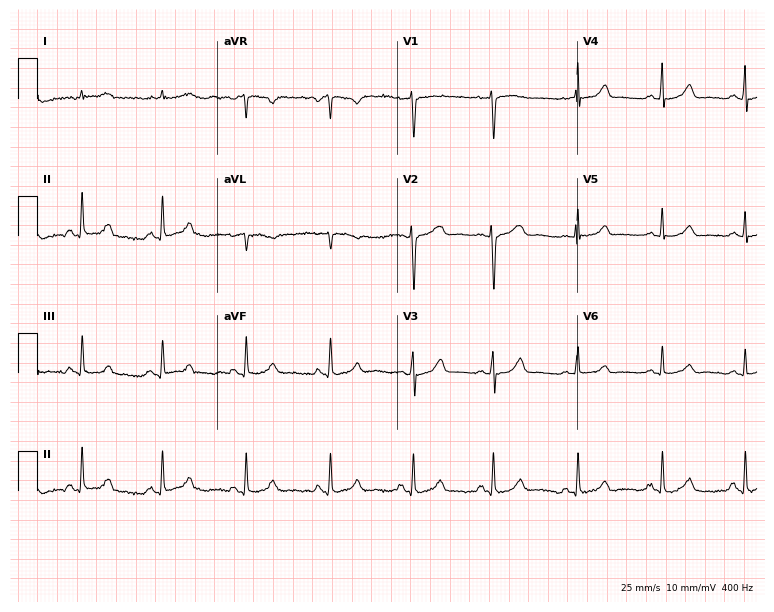
Electrocardiogram (7.3-second recording at 400 Hz), a female patient, 39 years old. Of the six screened findings (first-degree AV block, right bundle branch block (RBBB), left bundle branch block (LBBB), sinus bradycardia, atrial fibrillation (AF), sinus tachycardia), none is recorded. Findings outside these six are not listed.